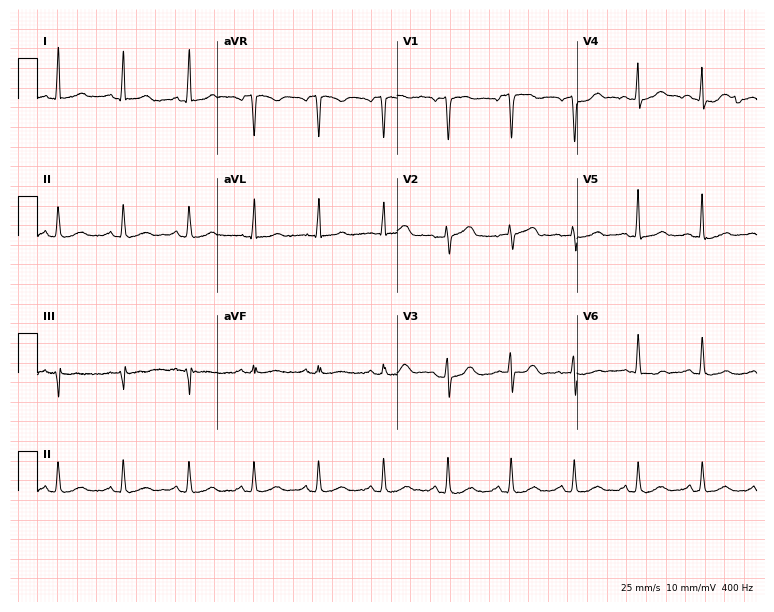
Standard 12-lead ECG recorded from a female patient, 46 years old. Read as a normal ECG.